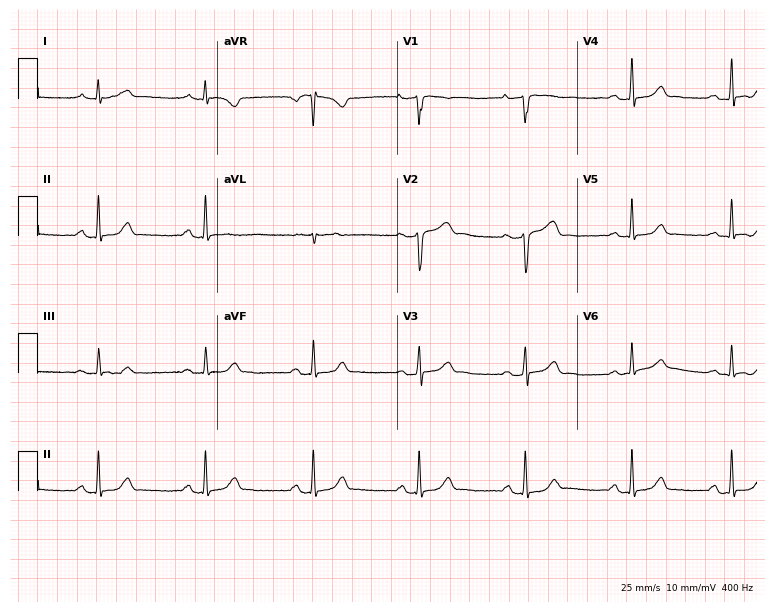
Resting 12-lead electrocardiogram (7.3-second recording at 400 Hz). Patient: a woman, 43 years old. Read as a normal ECG.